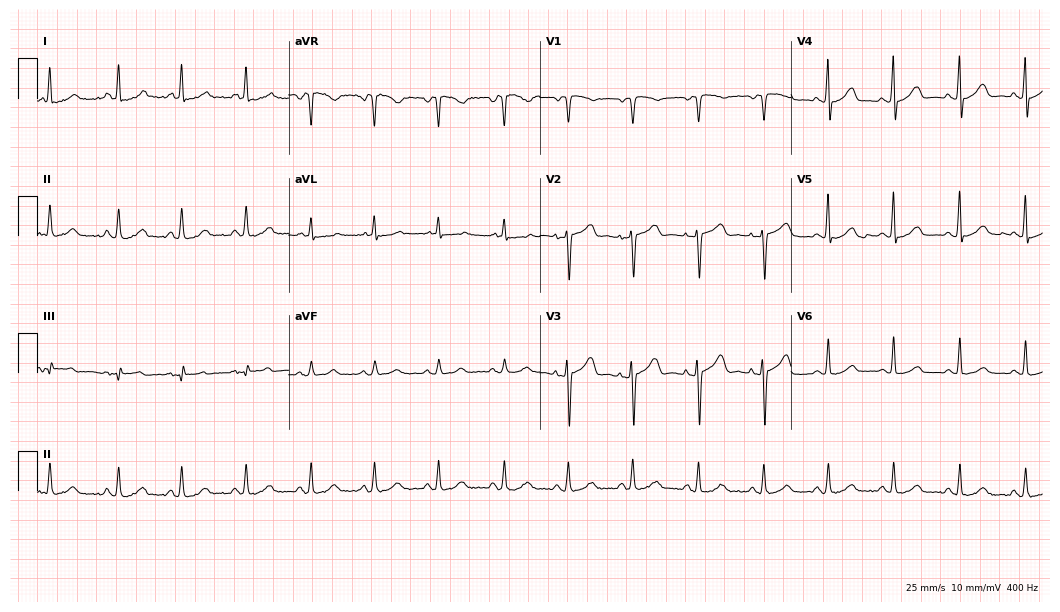
Electrocardiogram, a 70-year-old female patient. Overall reading on record: normal ECG.